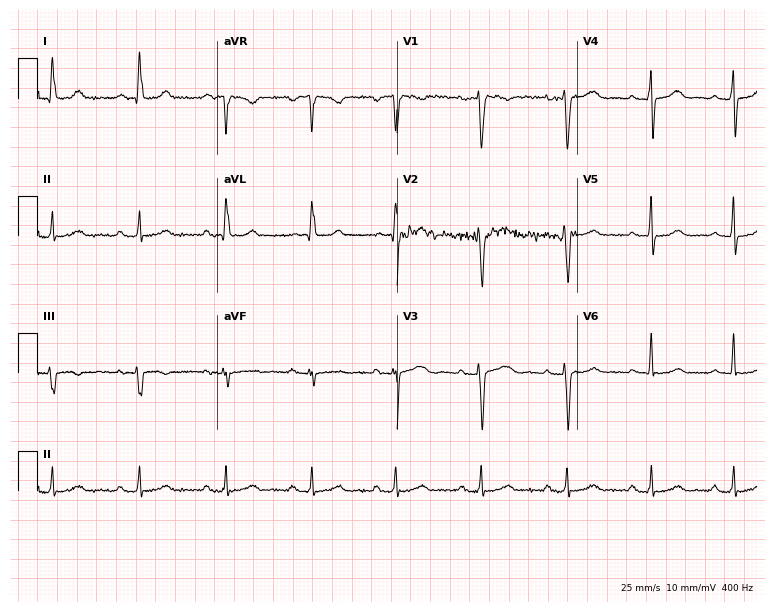
Electrocardiogram, a woman, 31 years old. Of the six screened findings (first-degree AV block, right bundle branch block, left bundle branch block, sinus bradycardia, atrial fibrillation, sinus tachycardia), none is recorded. Only these six findings were labelled.